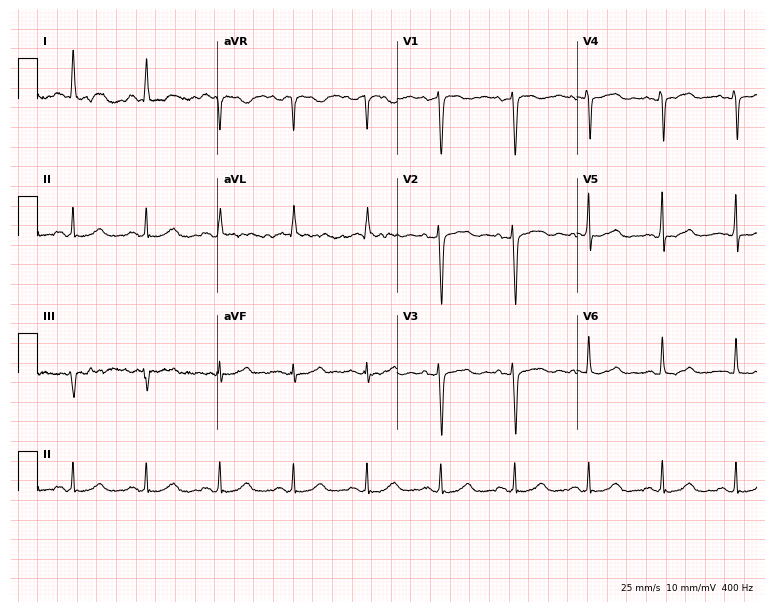
Standard 12-lead ECG recorded from a 69-year-old woman (7.3-second recording at 400 Hz). None of these six findings is recorded: first-degree AV block, right bundle branch block, left bundle branch block, sinus bradycardia, atrial fibrillation, sinus tachycardia. Only these six findings were labelled.